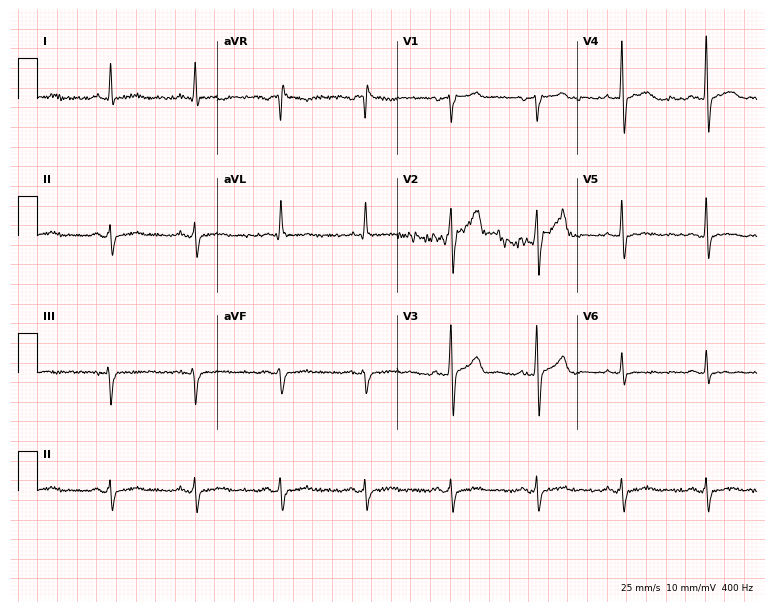
12-lead ECG from a man, 68 years old. Screened for six findings — first-degree AV block, right bundle branch block, left bundle branch block, sinus bradycardia, atrial fibrillation, sinus tachycardia — none is recorded. Only these six findings were labelled.